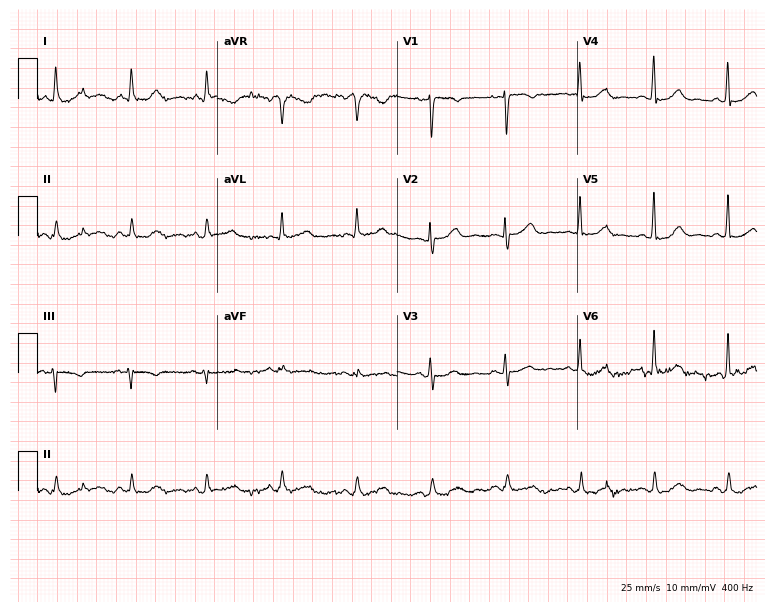
12-lead ECG from a female, 64 years old (7.3-second recording at 400 Hz). Recorded interpretation: within normal limits.